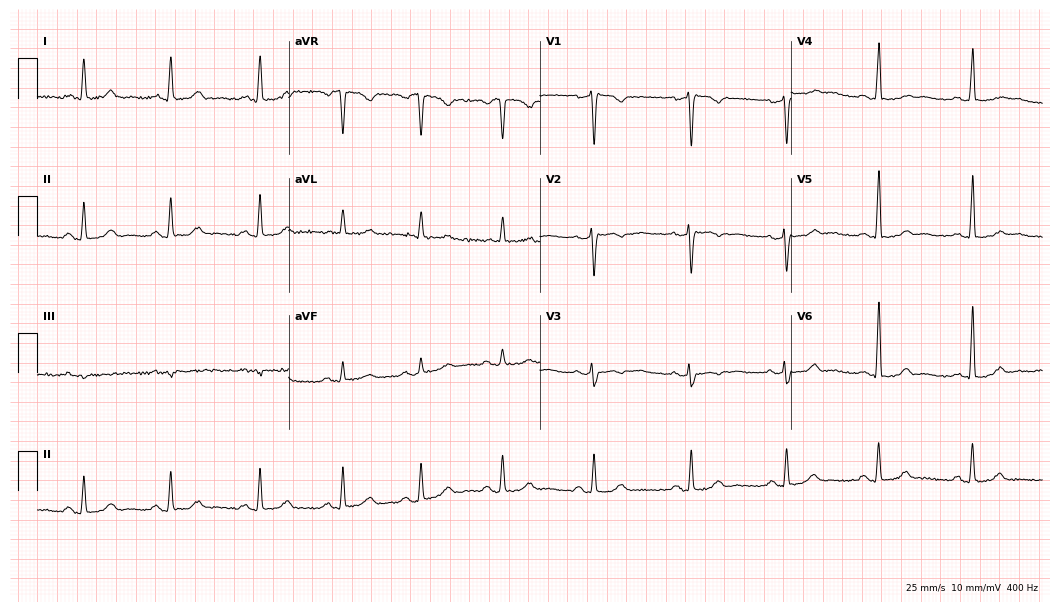
12-lead ECG from a 36-year-old female patient. No first-degree AV block, right bundle branch block, left bundle branch block, sinus bradycardia, atrial fibrillation or sinus tachycardia recorded for this tracing.